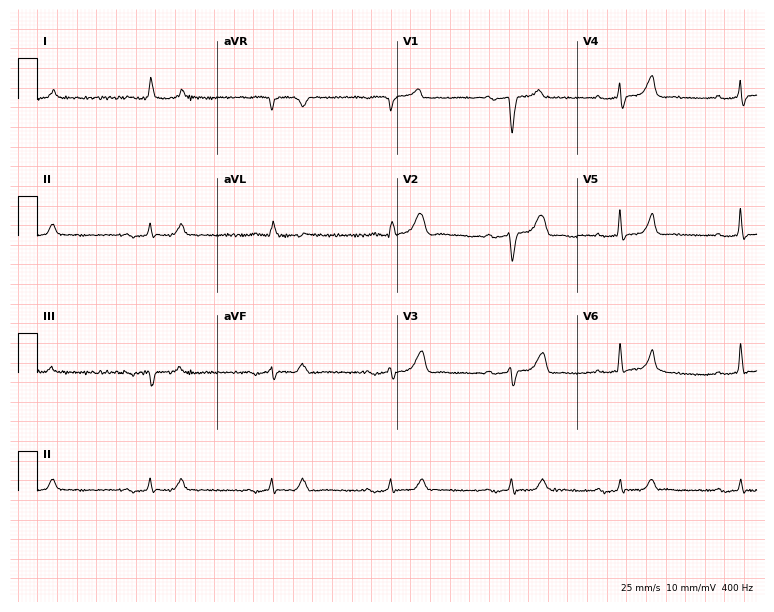
Standard 12-lead ECG recorded from an 83-year-old male (7.3-second recording at 400 Hz). None of these six findings is recorded: first-degree AV block, right bundle branch block (RBBB), left bundle branch block (LBBB), sinus bradycardia, atrial fibrillation (AF), sinus tachycardia. Other findings, if any, are not listed.